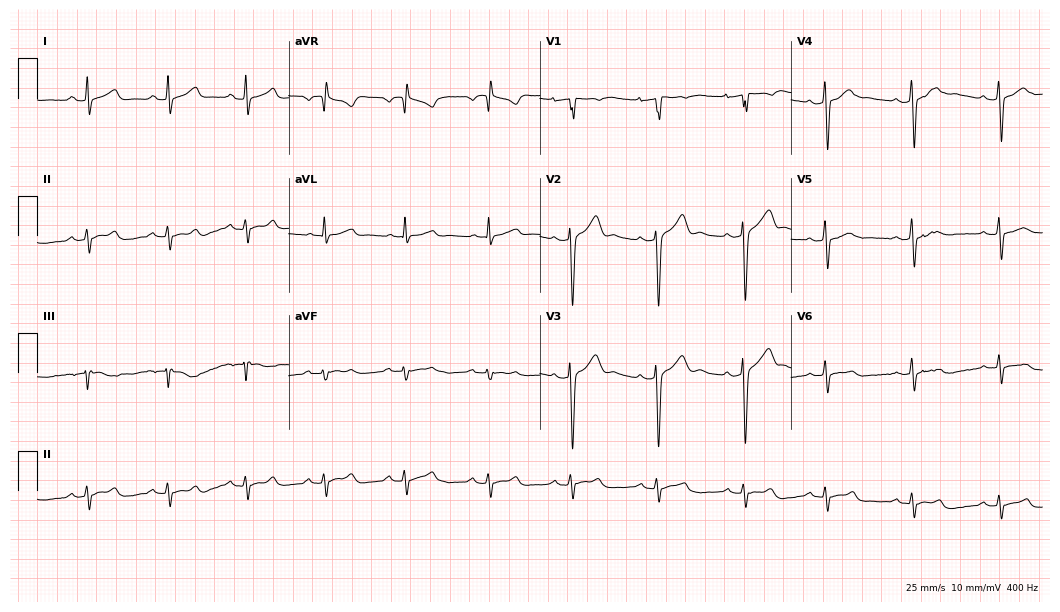
Resting 12-lead electrocardiogram. Patient: a man, 20 years old. None of these six findings is recorded: first-degree AV block, right bundle branch block (RBBB), left bundle branch block (LBBB), sinus bradycardia, atrial fibrillation (AF), sinus tachycardia. Other findings, if any, are not listed.